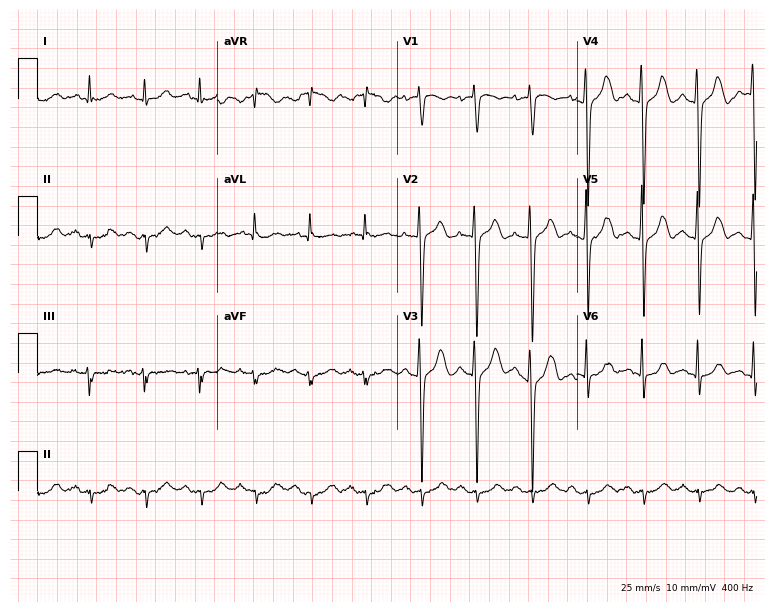
Electrocardiogram (7.3-second recording at 400 Hz), a male patient, 79 years old. Interpretation includes sinus tachycardia (a sinus rate of 100 beats per minute or more).